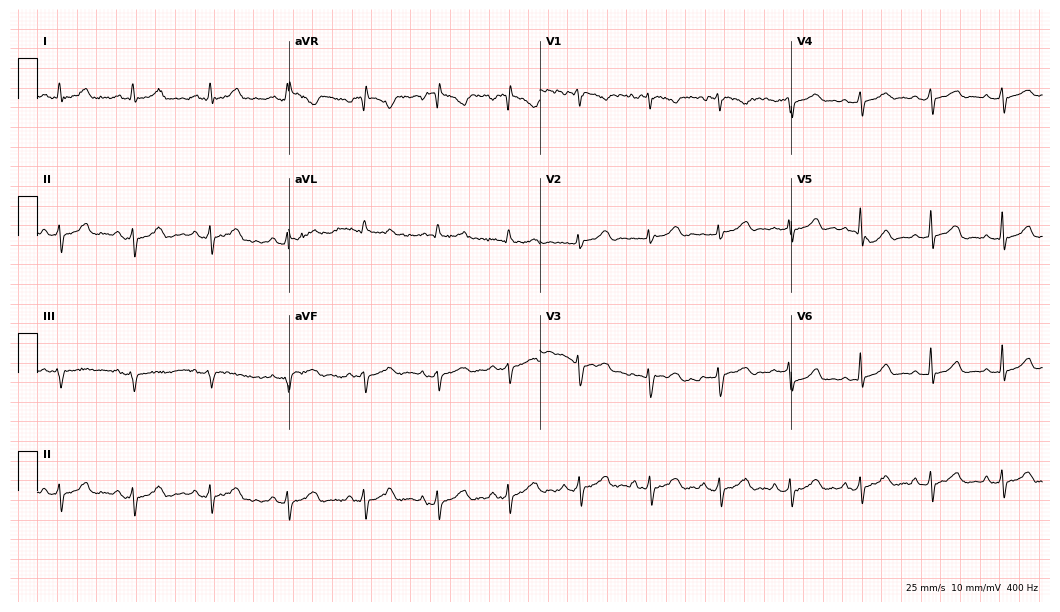
12-lead ECG (10.2-second recording at 400 Hz) from a 29-year-old female. Screened for six findings — first-degree AV block, right bundle branch block, left bundle branch block, sinus bradycardia, atrial fibrillation, sinus tachycardia — none is recorded.